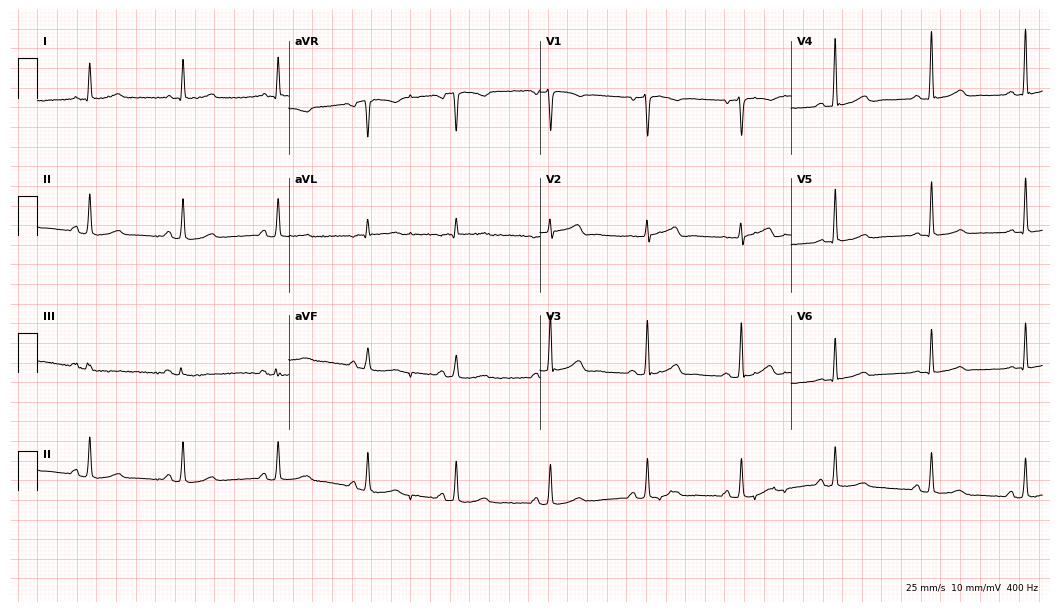
12-lead ECG from a woman, 58 years old (10.2-second recording at 400 Hz). Recorded interpretation: within normal limits.